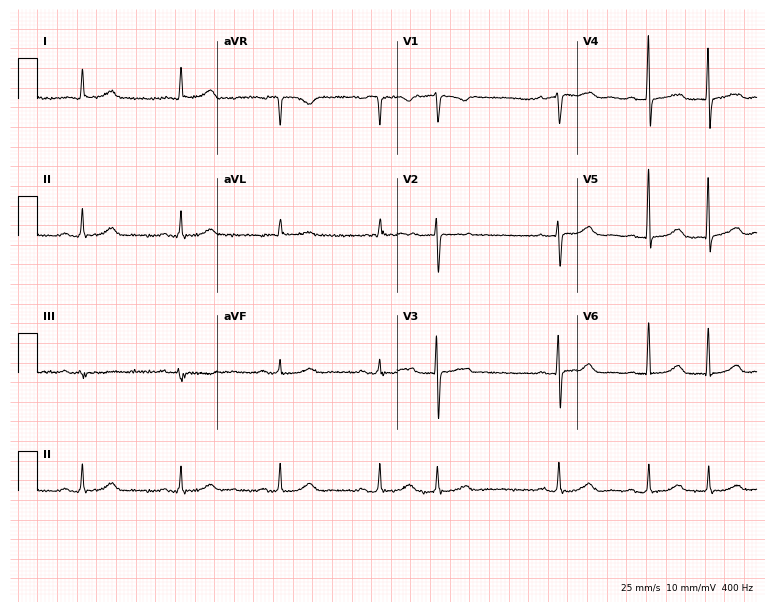
ECG — a female, 83 years old. Screened for six findings — first-degree AV block, right bundle branch block (RBBB), left bundle branch block (LBBB), sinus bradycardia, atrial fibrillation (AF), sinus tachycardia — none is recorded. Other findings, if any, are not listed.